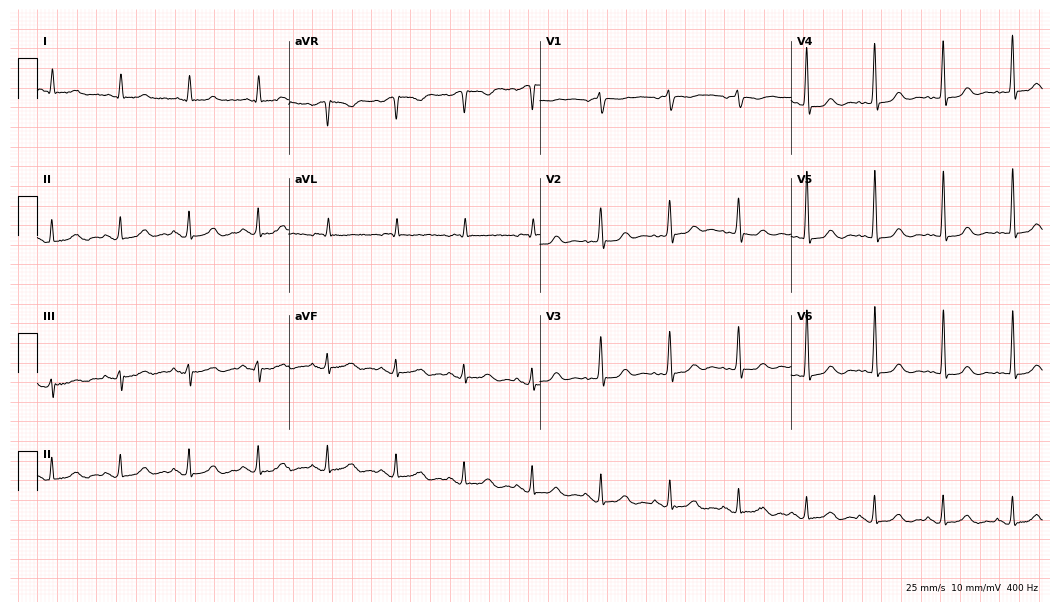
Standard 12-lead ECG recorded from a female patient, 77 years old (10.2-second recording at 400 Hz). Read as a normal ECG.